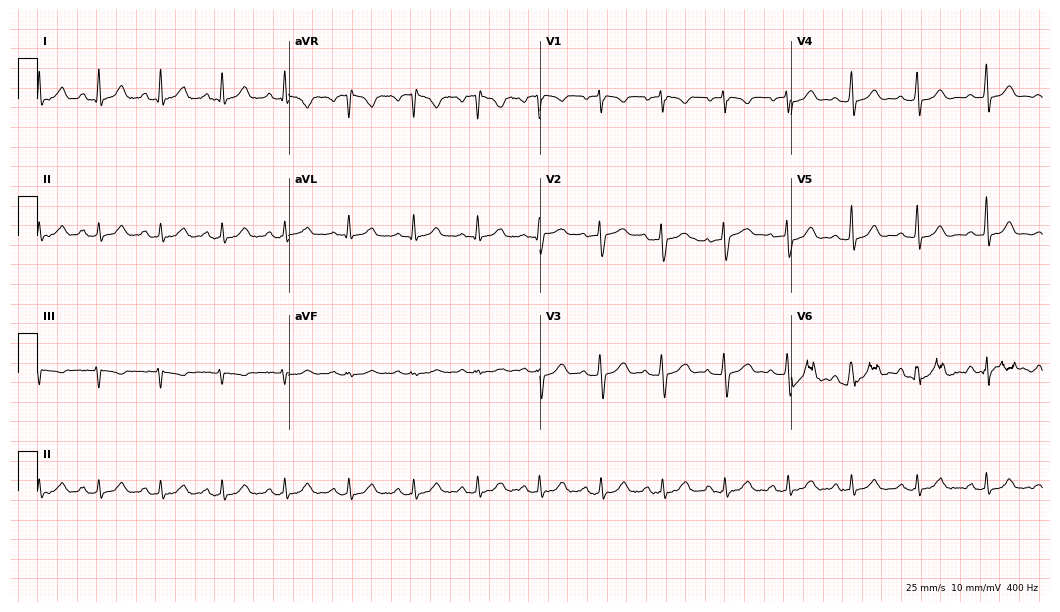
12-lead ECG from a 33-year-old female patient (10.2-second recording at 400 Hz). Recorded interpretation: within normal limits.